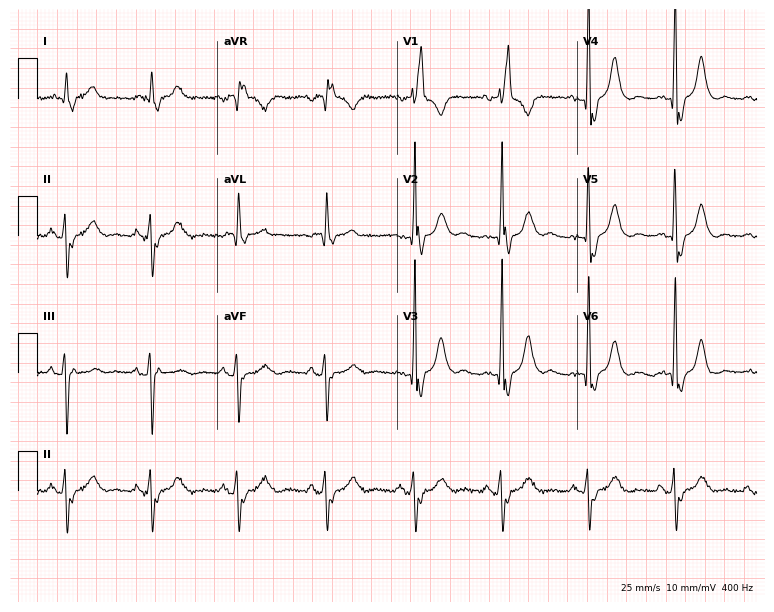
Resting 12-lead electrocardiogram (7.3-second recording at 400 Hz). Patient: an 80-year-old male. The tracing shows right bundle branch block.